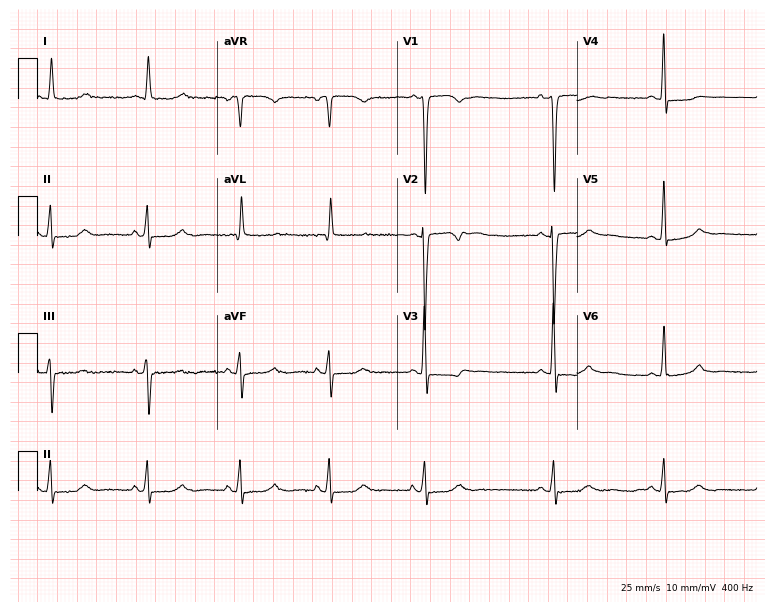
ECG — a 75-year-old woman. Screened for six findings — first-degree AV block, right bundle branch block (RBBB), left bundle branch block (LBBB), sinus bradycardia, atrial fibrillation (AF), sinus tachycardia — none is recorded. Other findings, if any, are not listed.